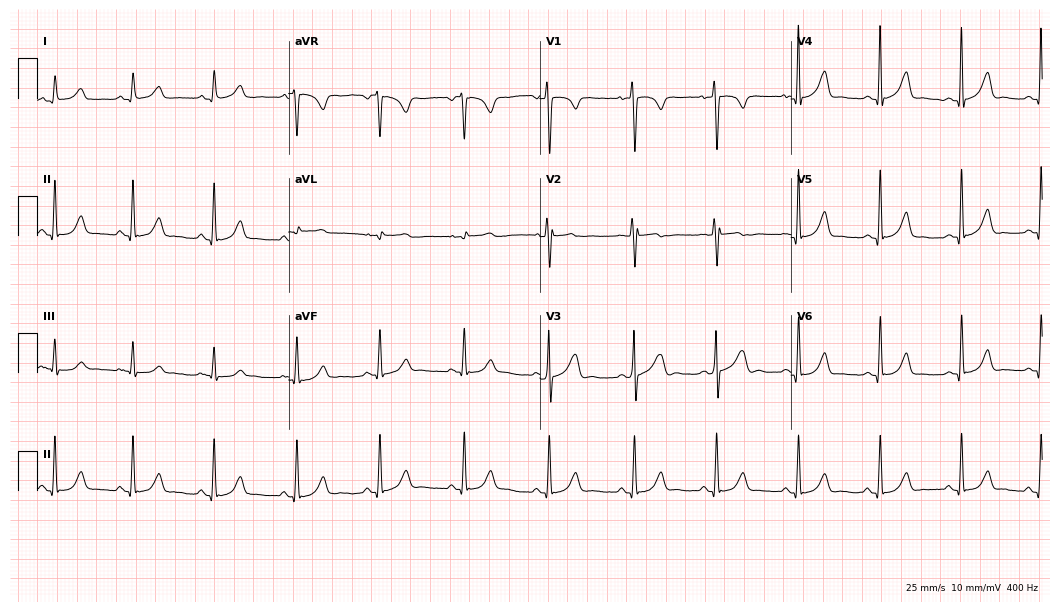
12-lead ECG from a male patient, 75 years old. Recorded interpretation: within normal limits.